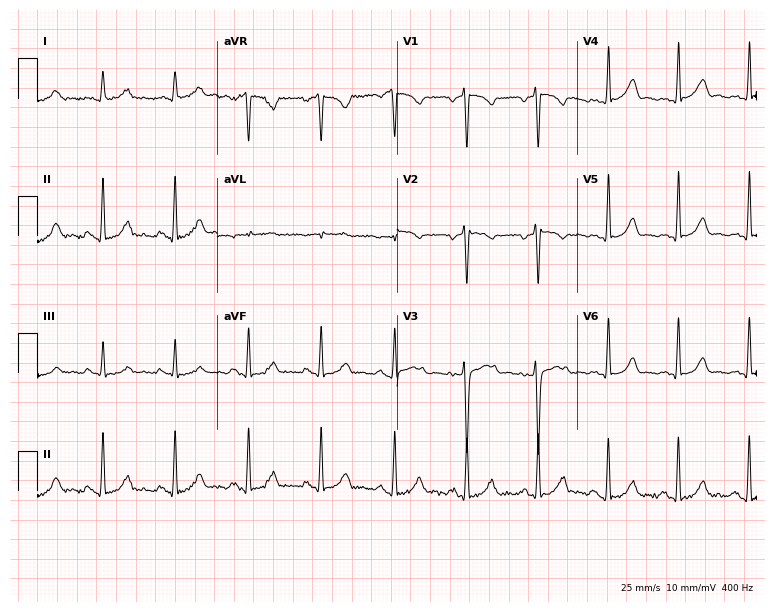
ECG (7.3-second recording at 400 Hz) — a 36-year-old woman. Screened for six findings — first-degree AV block, right bundle branch block, left bundle branch block, sinus bradycardia, atrial fibrillation, sinus tachycardia — none is recorded.